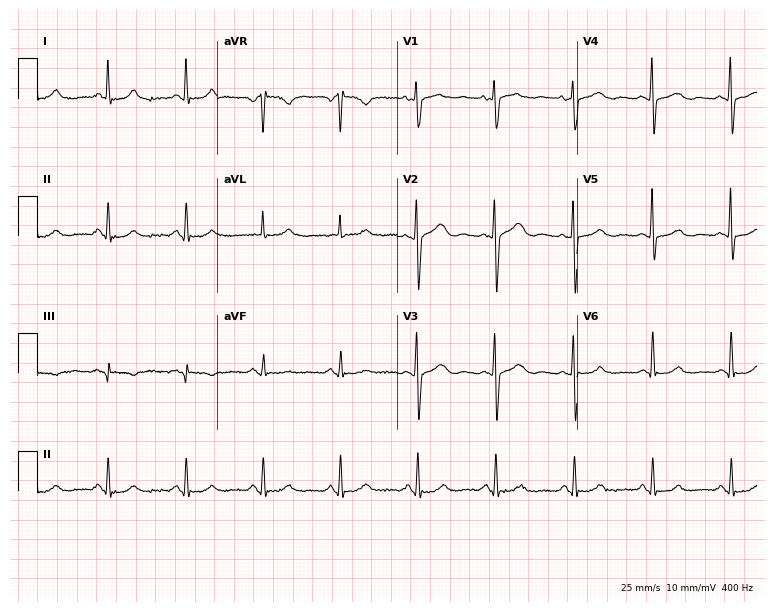
Resting 12-lead electrocardiogram. Patient: a 63-year-old woman. Read as a normal ECG.